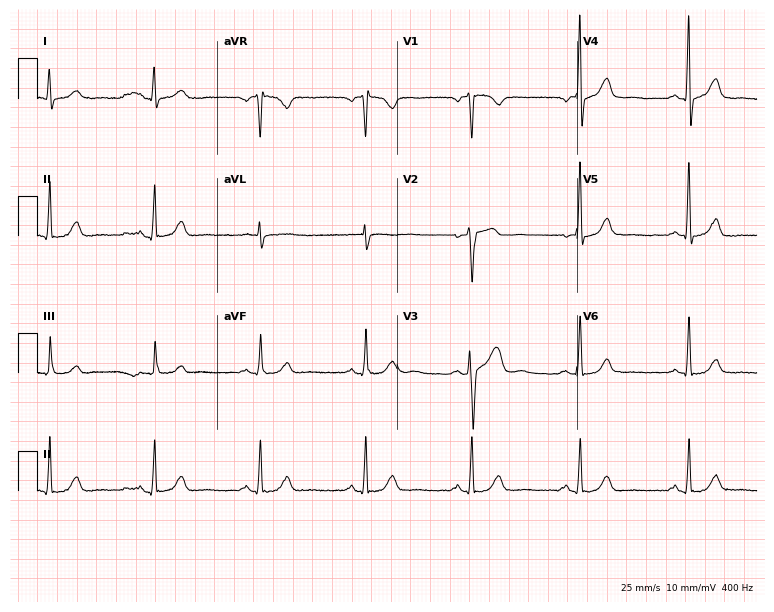
Electrocardiogram (7.3-second recording at 400 Hz), a male patient, 68 years old. Of the six screened findings (first-degree AV block, right bundle branch block (RBBB), left bundle branch block (LBBB), sinus bradycardia, atrial fibrillation (AF), sinus tachycardia), none is recorded. Other findings, if any, are not listed.